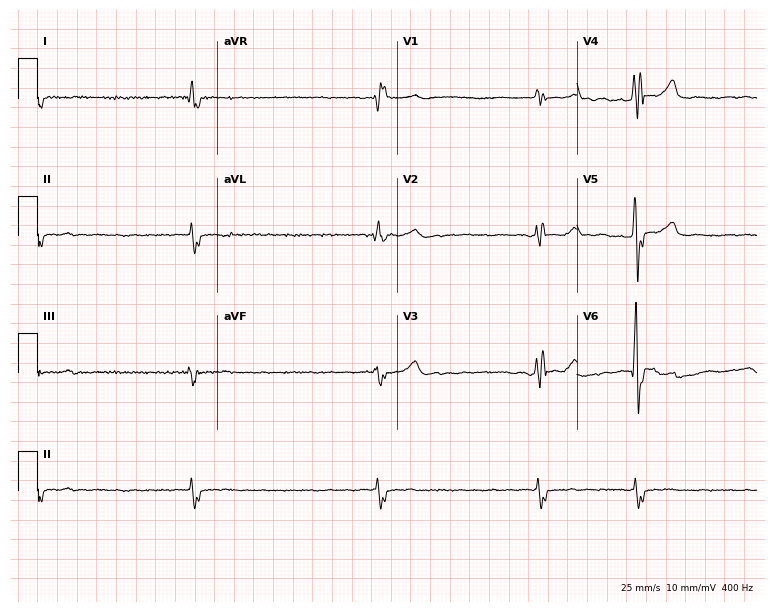
12-lead ECG from a male patient, 69 years old (7.3-second recording at 400 Hz). Shows atrial fibrillation (AF).